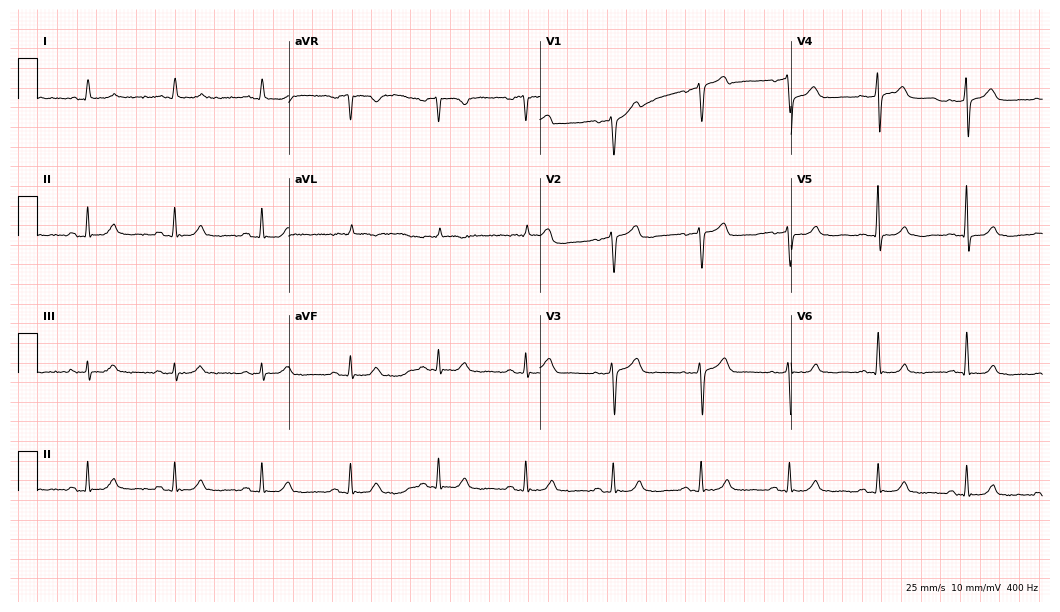
ECG — a male patient, 62 years old. Screened for six findings — first-degree AV block, right bundle branch block, left bundle branch block, sinus bradycardia, atrial fibrillation, sinus tachycardia — none is recorded. Only these six findings were labelled.